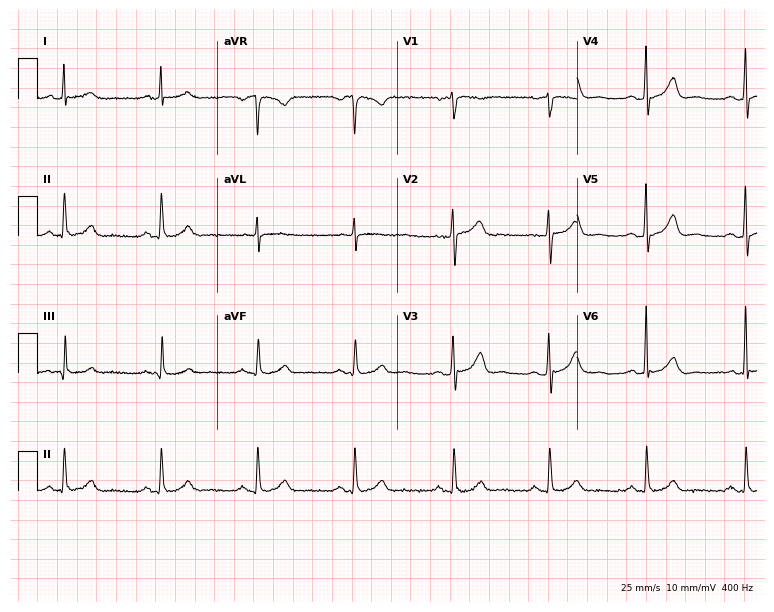
12-lead ECG (7.3-second recording at 400 Hz) from a 52-year-old male. Labelled as a normal ECG.